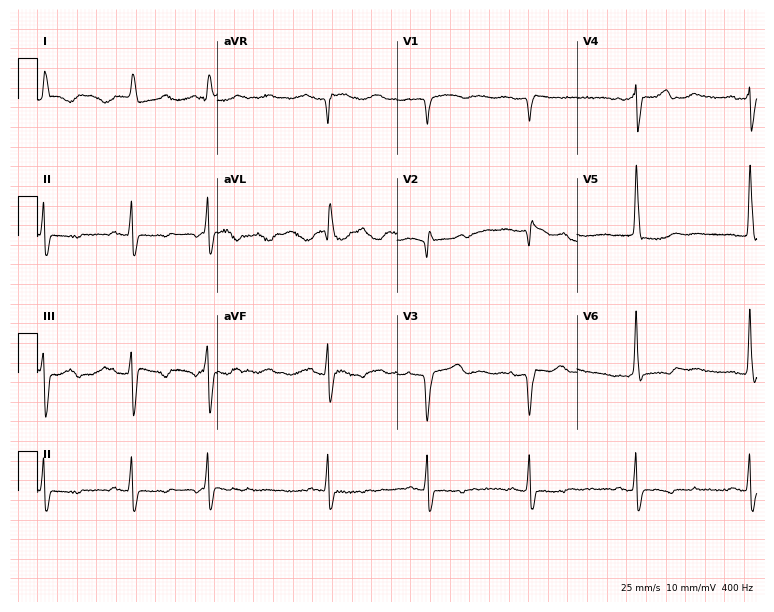
12-lead ECG from an 85-year-old female. Screened for six findings — first-degree AV block, right bundle branch block (RBBB), left bundle branch block (LBBB), sinus bradycardia, atrial fibrillation (AF), sinus tachycardia — none is recorded.